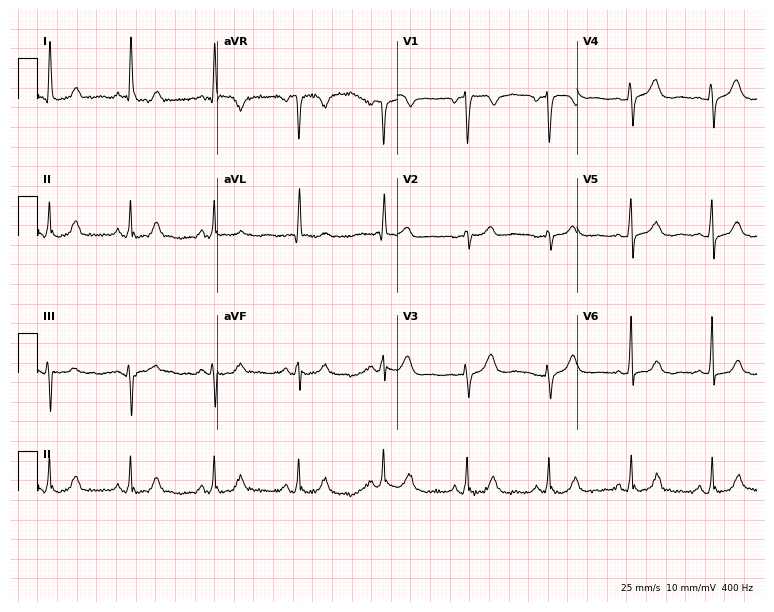
ECG — a 53-year-old woman. Screened for six findings — first-degree AV block, right bundle branch block, left bundle branch block, sinus bradycardia, atrial fibrillation, sinus tachycardia — none is recorded. Only these six findings were labelled.